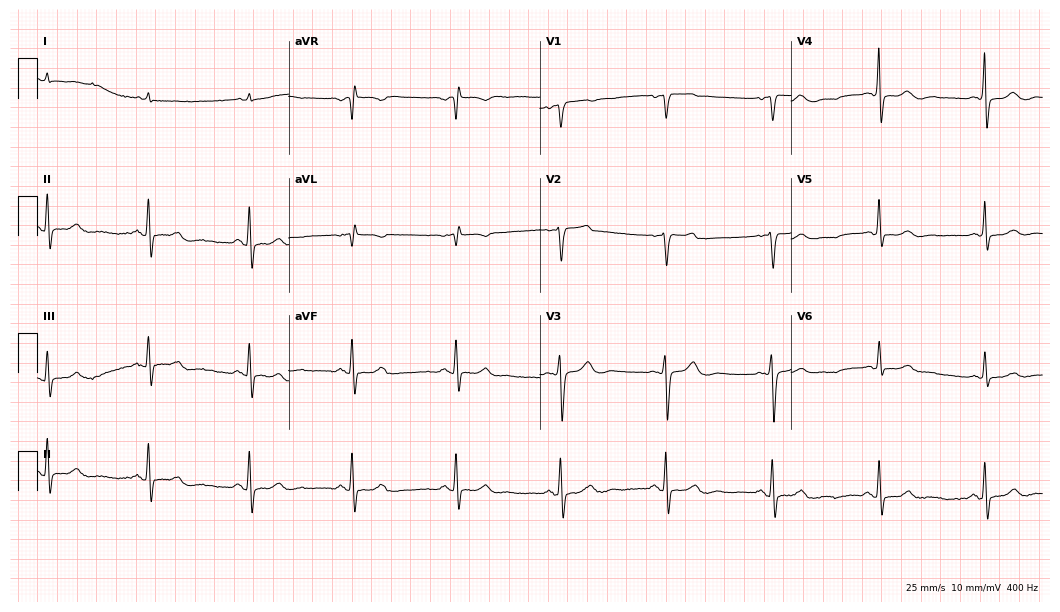
12-lead ECG from an 83-year-old woman. Recorded interpretation: within normal limits.